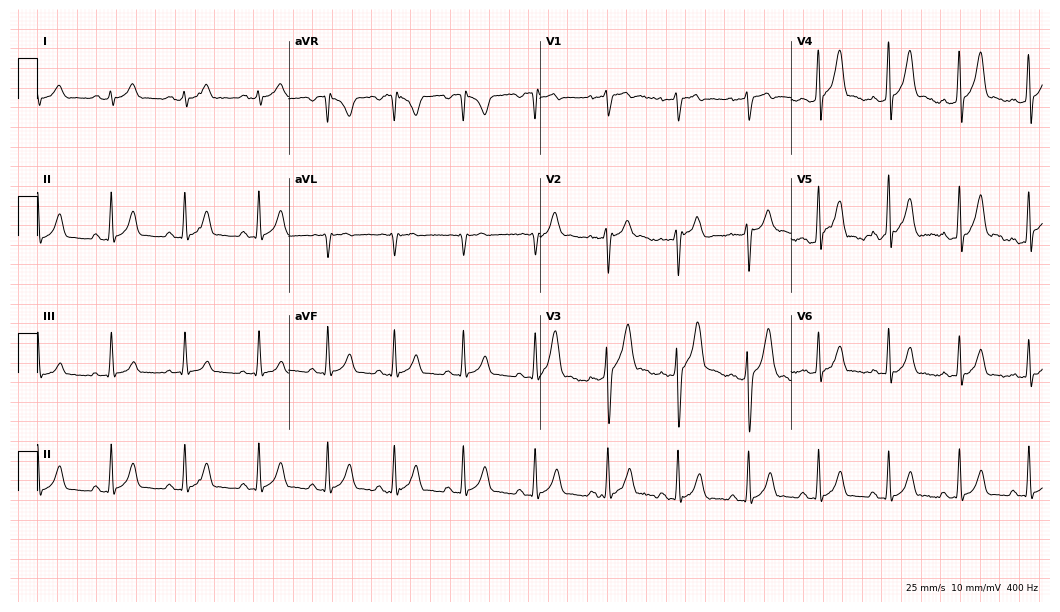
Electrocardiogram (10.2-second recording at 400 Hz), a 30-year-old man. Of the six screened findings (first-degree AV block, right bundle branch block (RBBB), left bundle branch block (LBBB), sinus bradycardia, atrial fibrillation (AF), sinus tachycardia), none is recorded. Other findings, if any, are not listed.